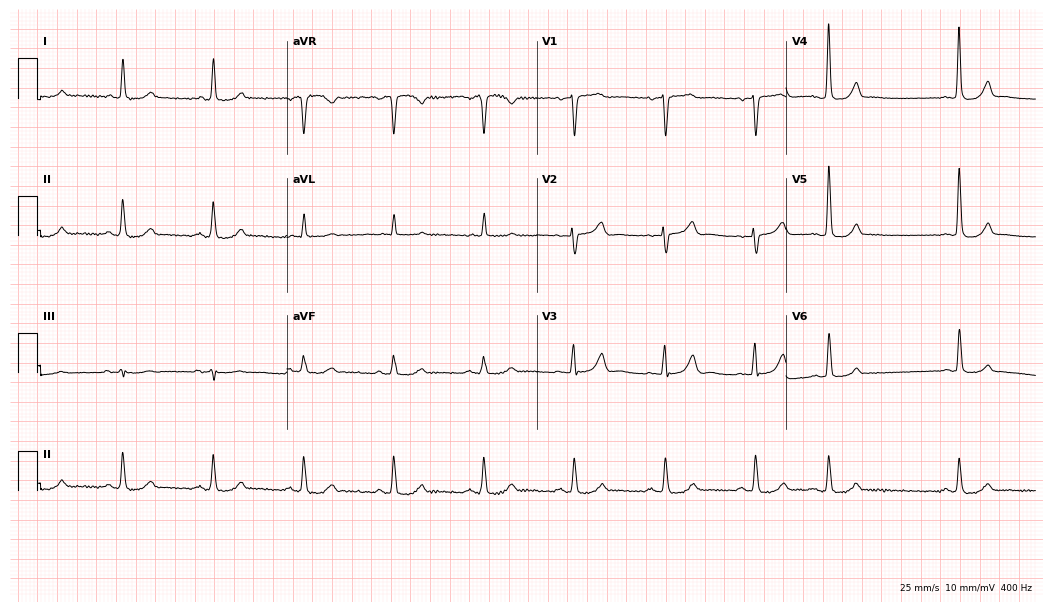
Electrocardiogram, a female, 73 years old. Overall reading on record: normal ECG.